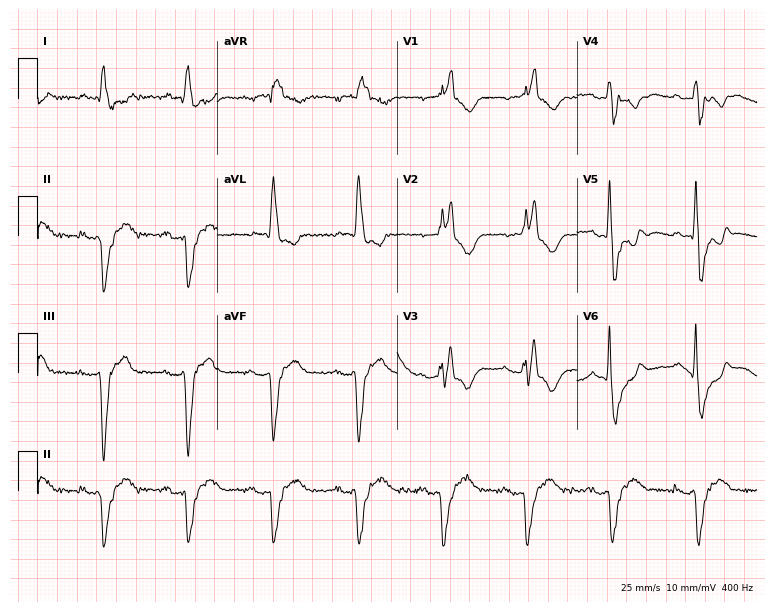
Standard 12-lead ECG recorded from an 80-year-old male. The tracing shows right bundle branch block.